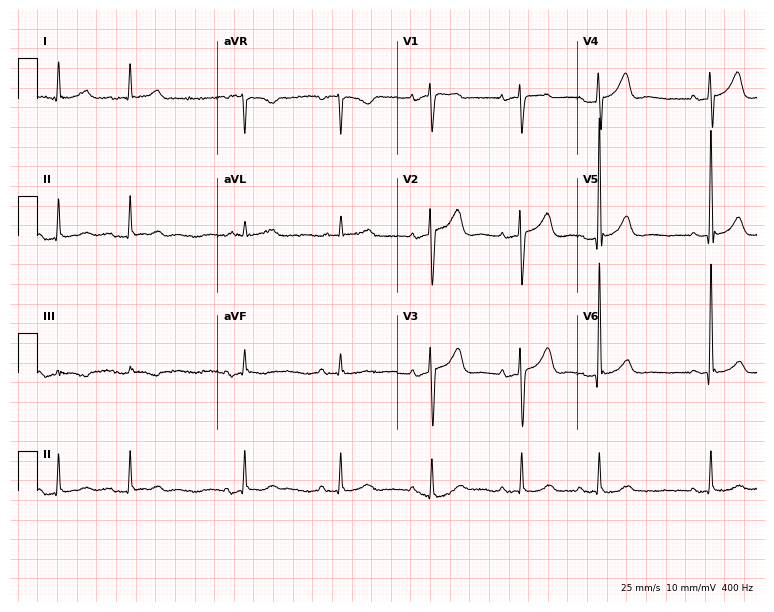
ECG — a female patient, 87 years old. Labelled as a normal ECG.